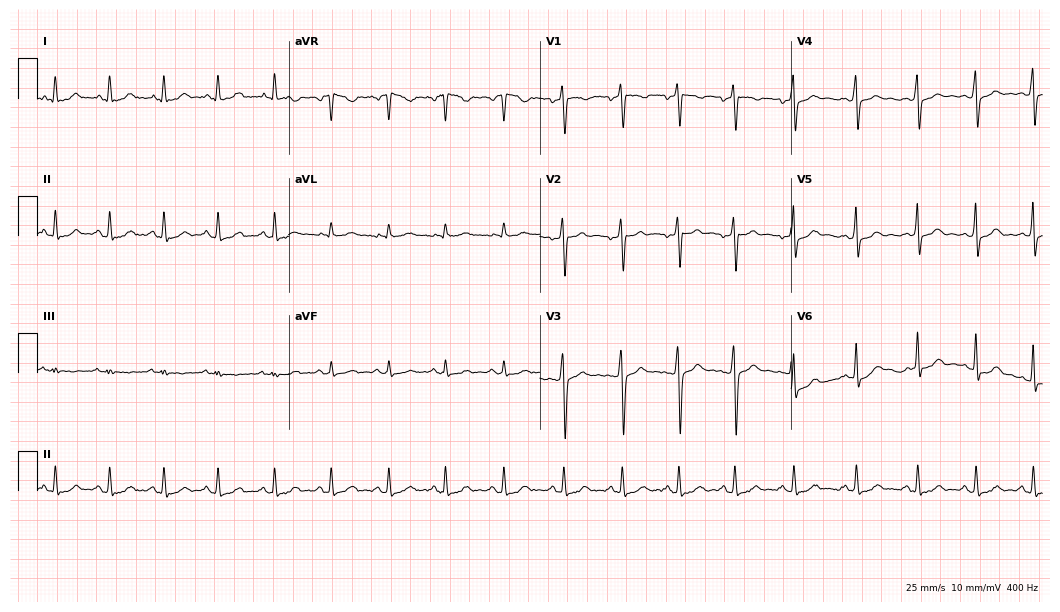
12-lead ECG from a female patient, 25 years old. Shows sinus tachycardia (a sinus rate of 100 beats per minute or more).